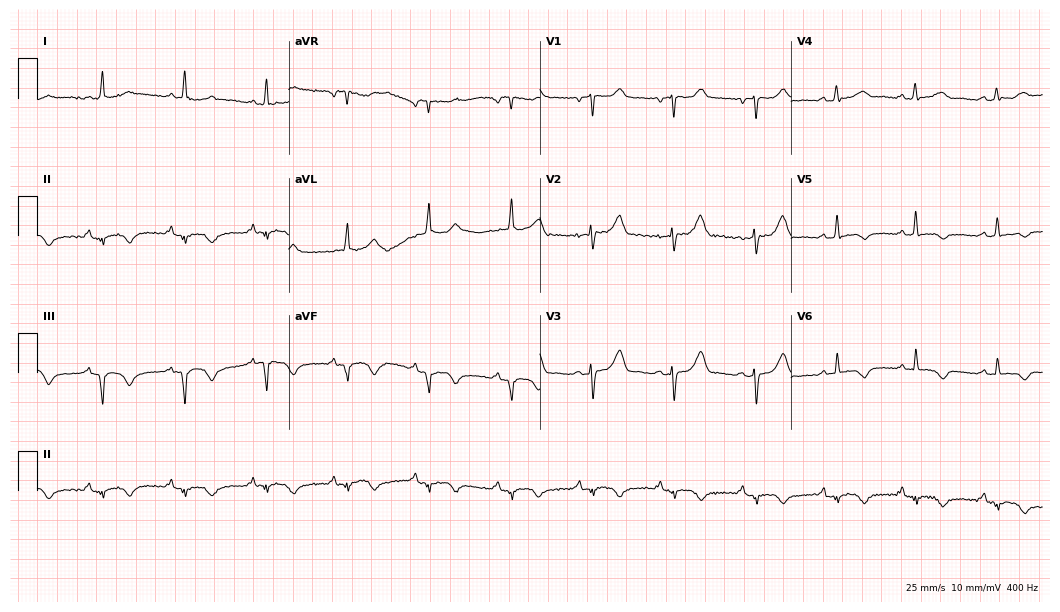
12-lead ECG from a female patient, 62 years old. No first-degree AV block, right bundle branch block, left bundle branch block, sinus bradycardia, atrial fibrillation or sinus tachycardia recorded for this tracing.